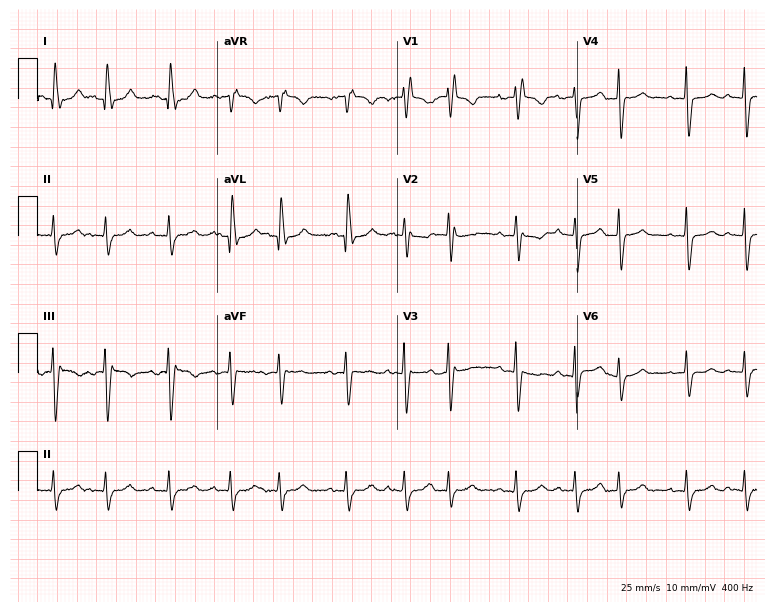
ECG (7.3-second recording at 400 Hz) — a female, 74 years old. Findings include right bundle branch block.